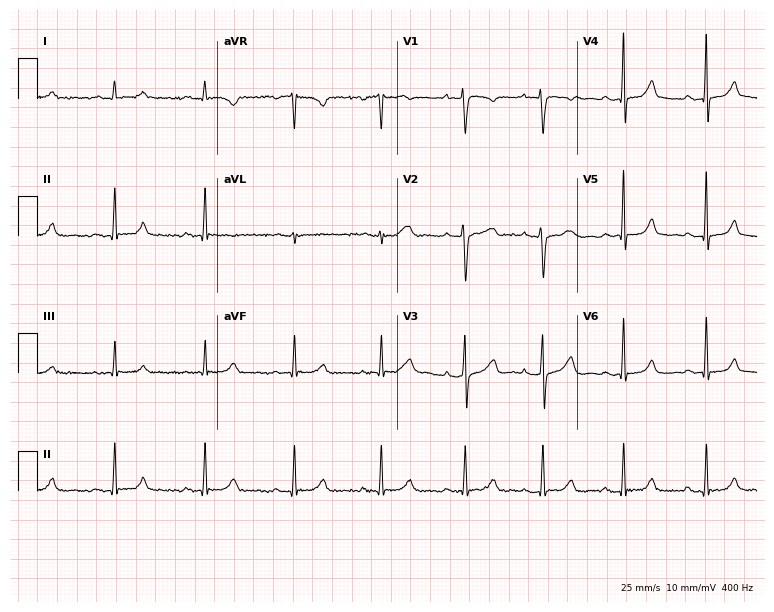
12-lead ECG from a 39-year-old female (7.3-second recording at 400 Hz). Recorded interpretation: within normal limits.